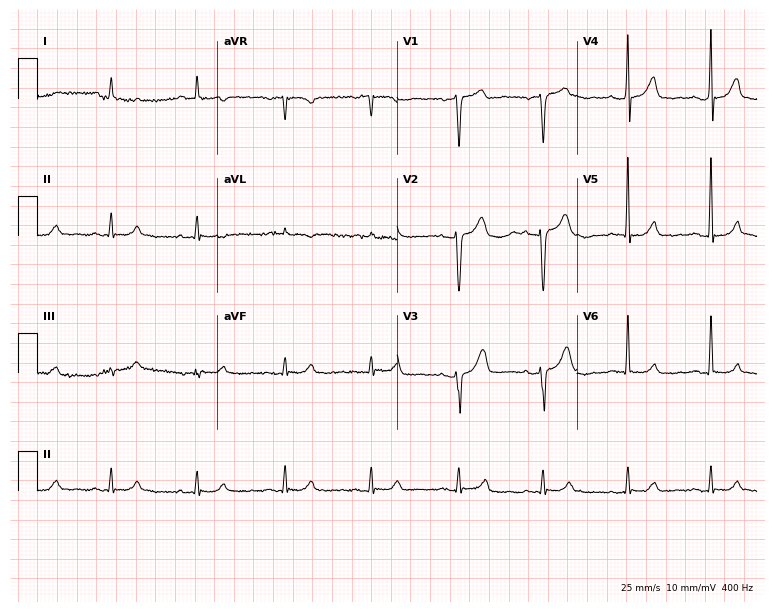
Electrocardiogram (7.3-second recording at 400 Hz), an 81-year-old male. Of the six screened findings (first-degree AV block, right bundle branch block, left bundle branch block, sinus bradycardia, atrial fibrillation, sinus tachycardia), none is recorded. Only these six findings were labelled.